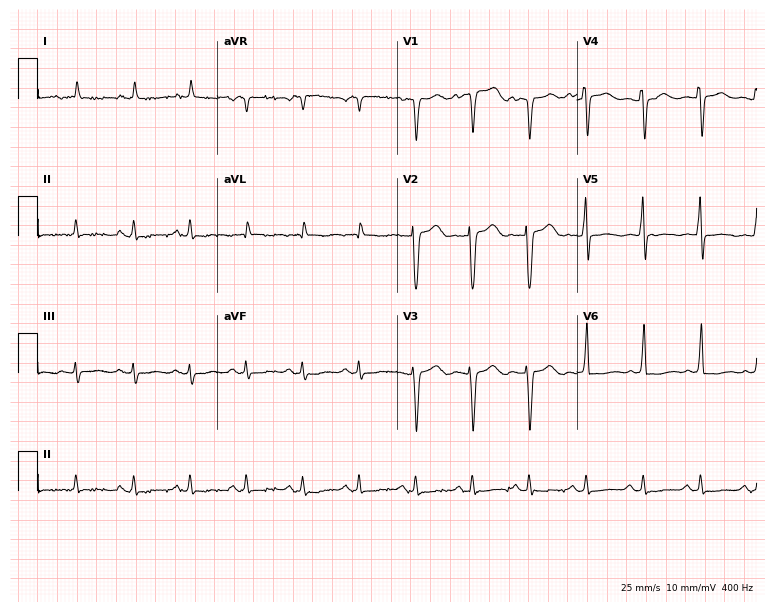
ECG — a 79-year-old male patient. Findings include sinus tachycardia (a sinus rate of 100 beats per minute or more).